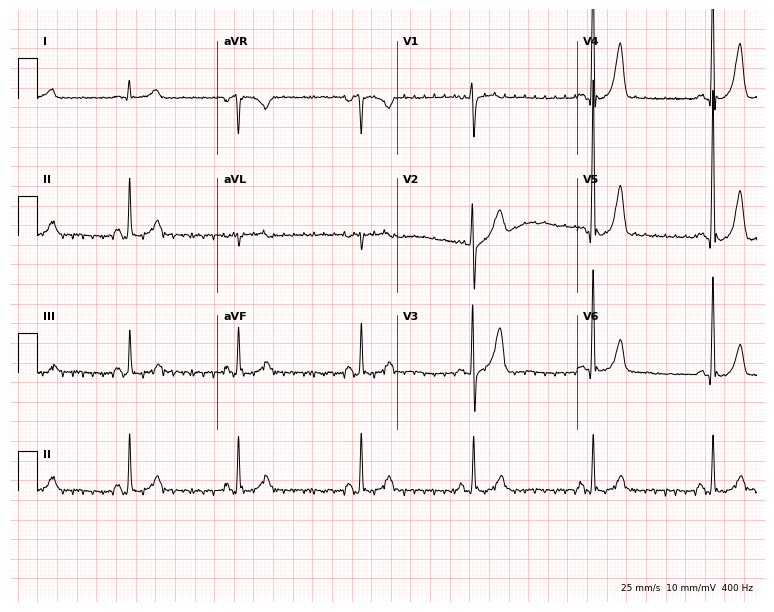
12-lead ECG from a 52-year-old female patient (7.3-second recording at 400 Hz). Shows sinus bradycardia (a sinus rate of 50 beats per minute or less).